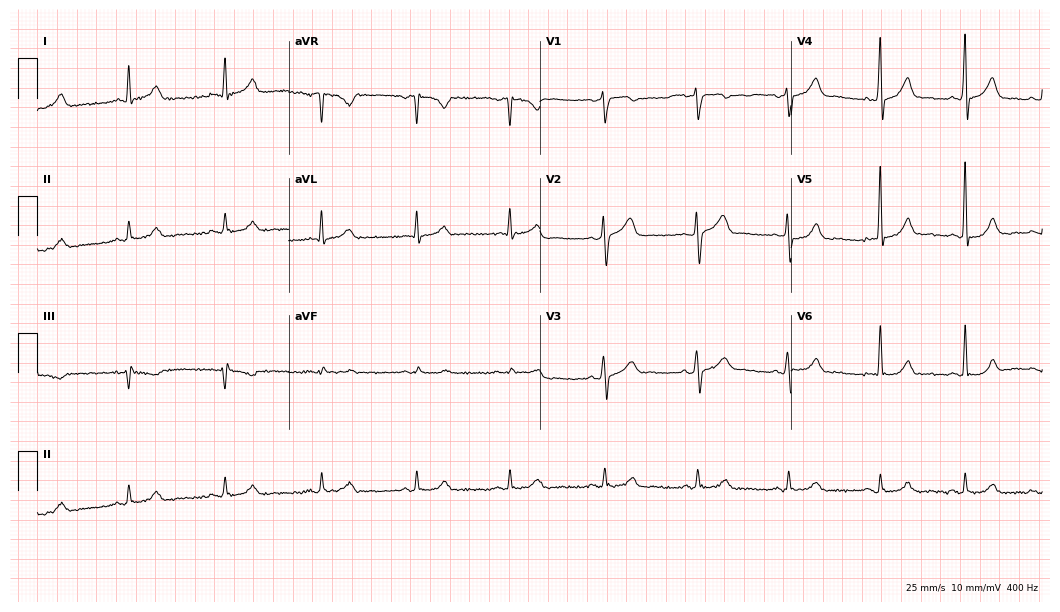
ECG — a male, 52 years old. Labelled as a normal ECG.